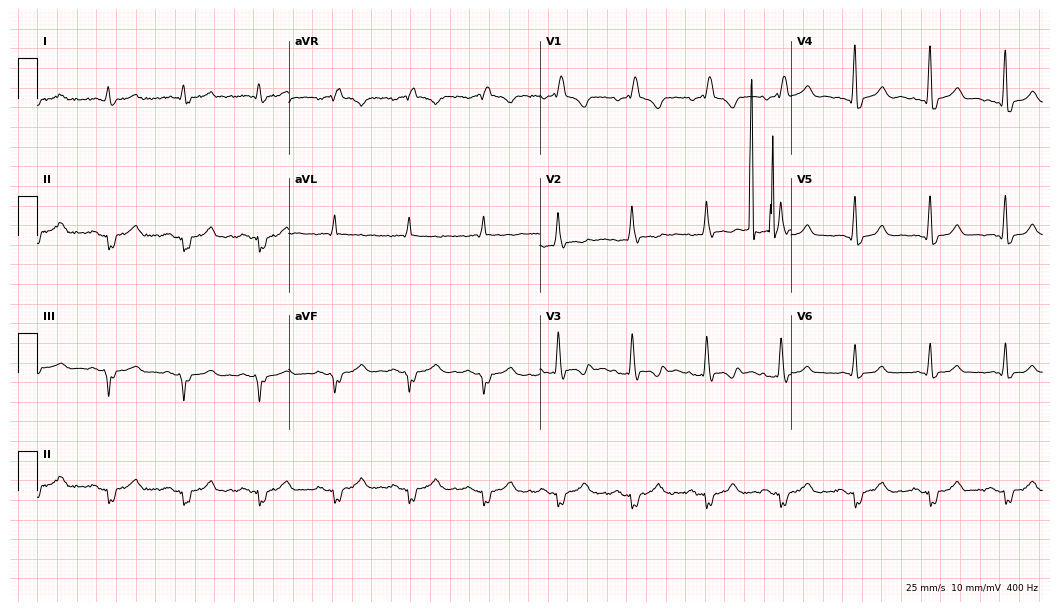
Standard 12-lead ECG recorded from a man, 51 years old (10.2-second recording at 400 Hz). The tracing shows right bundle branch block (RBBB).